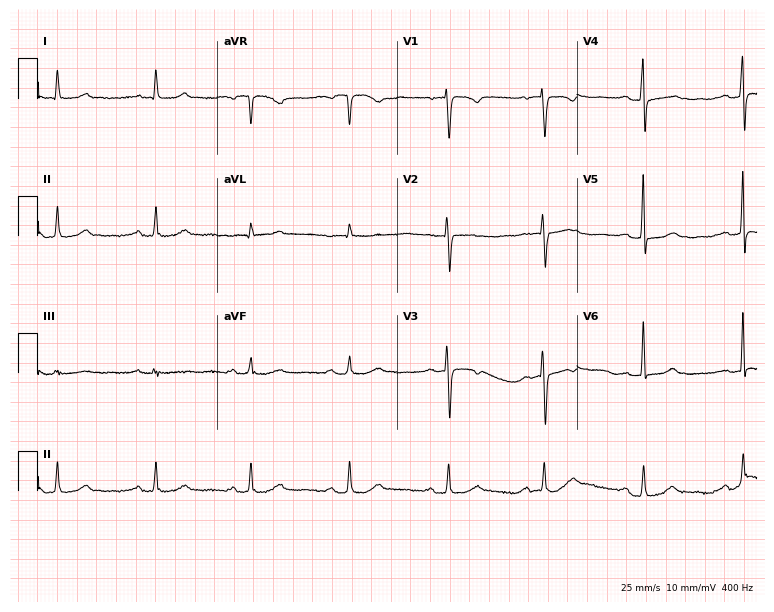
12-lead ECG from an 80-year-old female patient. Recorded interpretation: within normal limits.